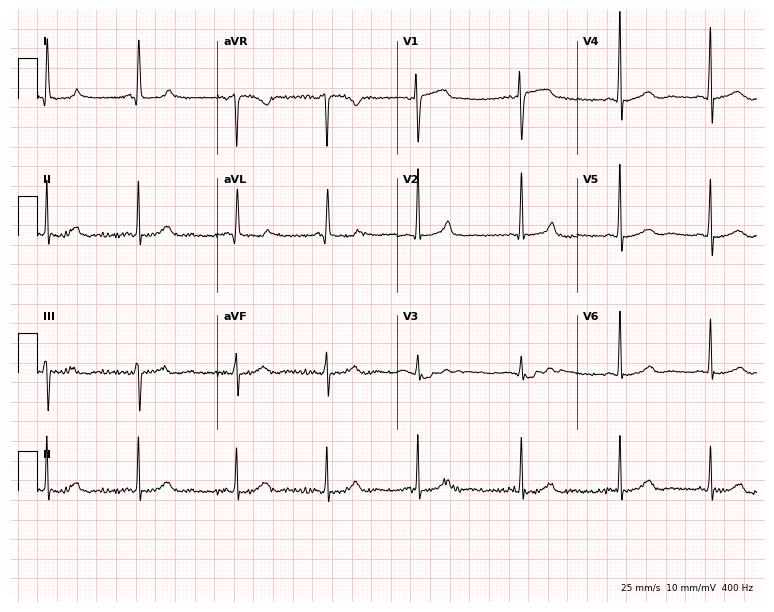
12-lead ECG from a 77-year-old woman (7.3-second recording at 400 Hz). Recorded interpretation: within normal limits.